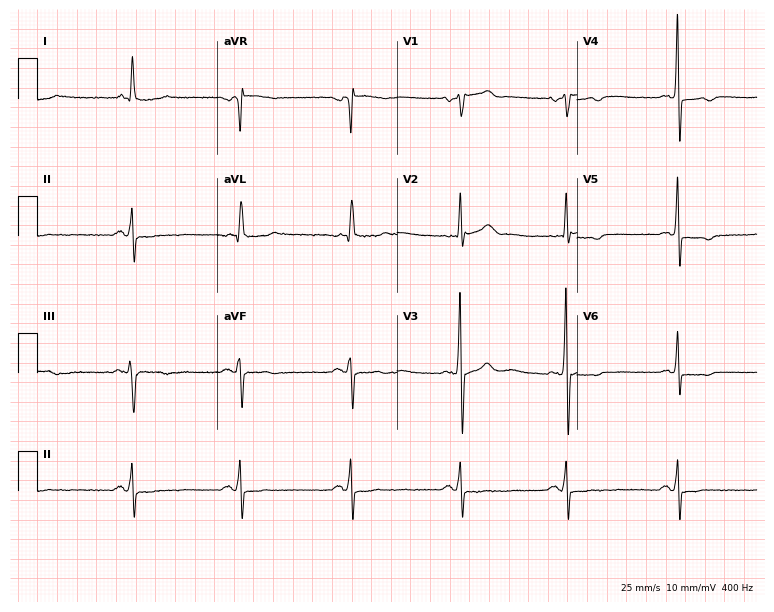
Resting 12-lead electrocardiogram (7.3-second recording at 400 Hz). Patient: an 81-year-old male. None of these six findings is recorded: first-degree AV block, right bundle branch block (RBBB), left bundle branch block (LBBB), sinus bradycardia, atrial fibrillation (AF), sinus tachycardia. Findings outside these six are not listed.